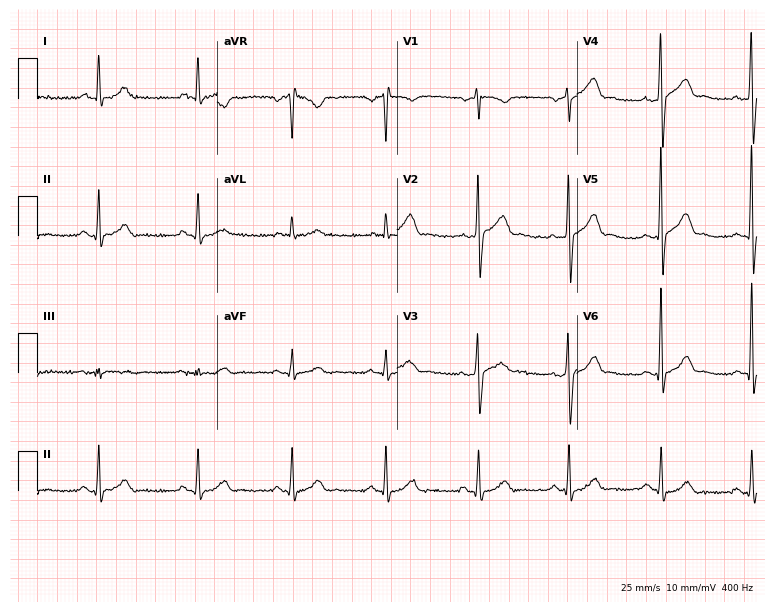
Resting 12-lead electrocardiogram (7.3-second recording at 400 Hz). Patient: a male, 56 years old. Read as a normal ECG.